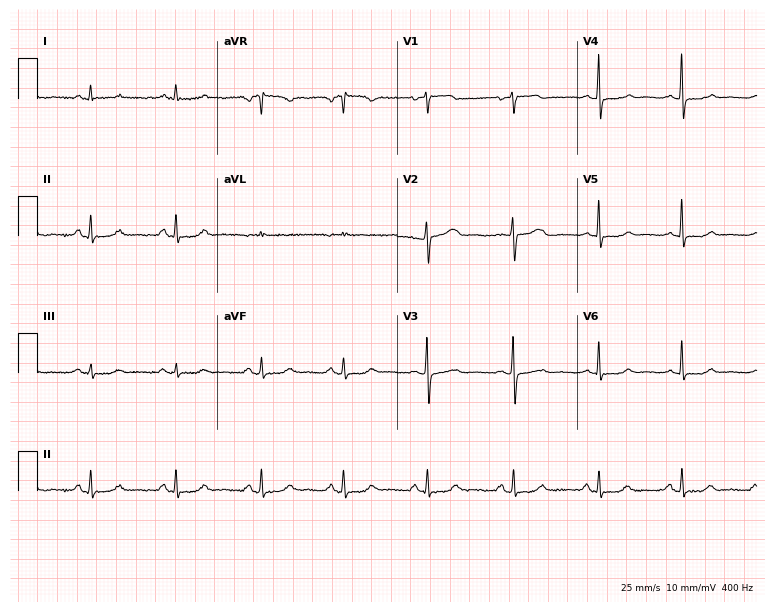
ECG — a 60-year-old woman. Labelled as a normal ECG.